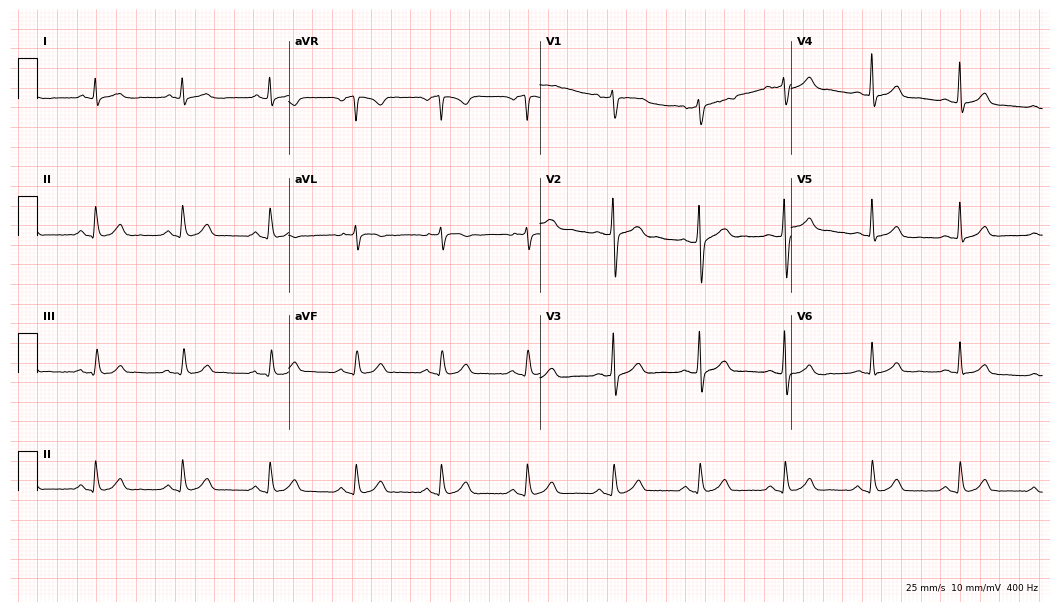
Standard 12-lead ECG recorded from a male, 50 years old (10.2-second recording at 400 Hz). Read as a normal ECG.